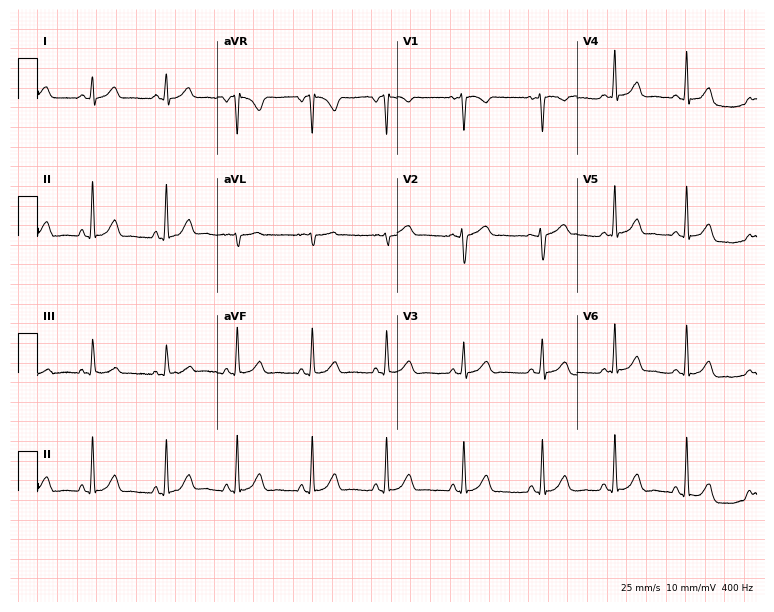
12-lead ECG from a 42-year-old female patient. Recorded interpretation: within normal limits.